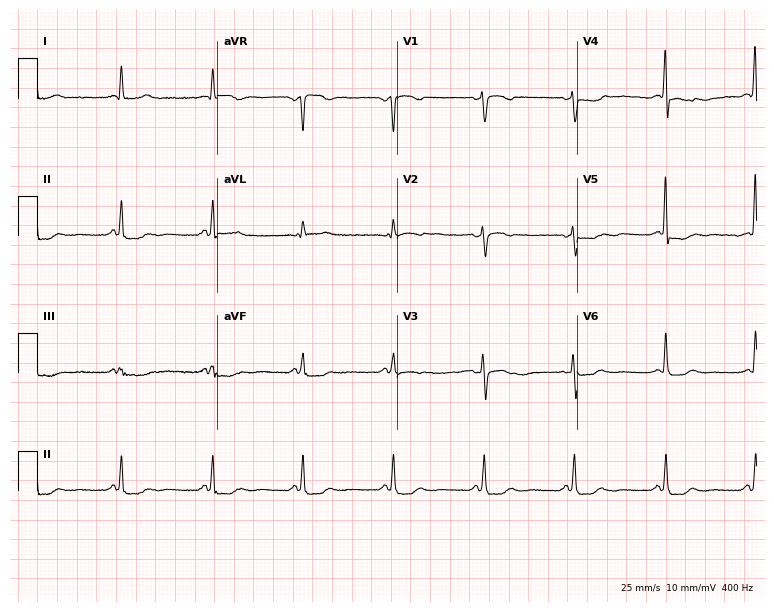
Electrocardiogram (7.3-second recording at 400 Hz), a 68-year-old female. Overall reading on record: normal ECG.